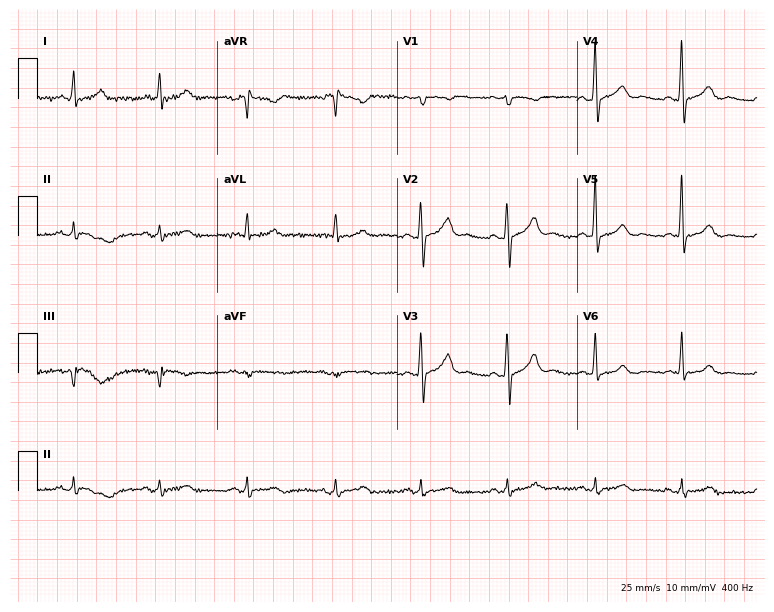
Electrocardiogram, a 56-year-old male. Overall reading on record: normal ECG.